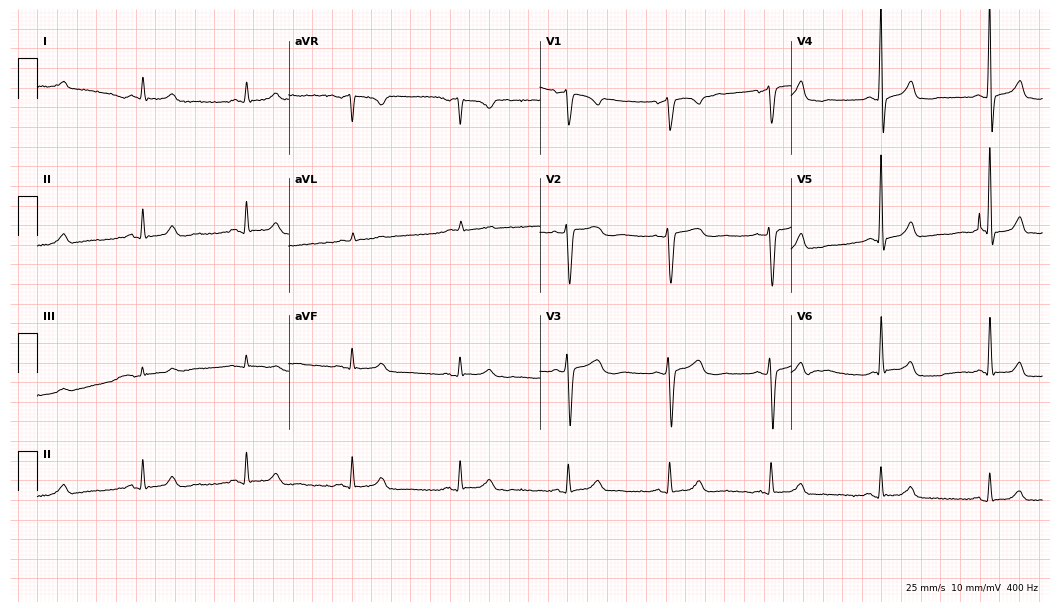
Electrocardiogram, a female, 68 years old. Of the six screened findings (first-degree AV block, right bundle branch block, left bundle branch block, sinus bradycardia, atrial fibrillation, sinus tachycardia), none is recorded. Findings outside these six are not listed.